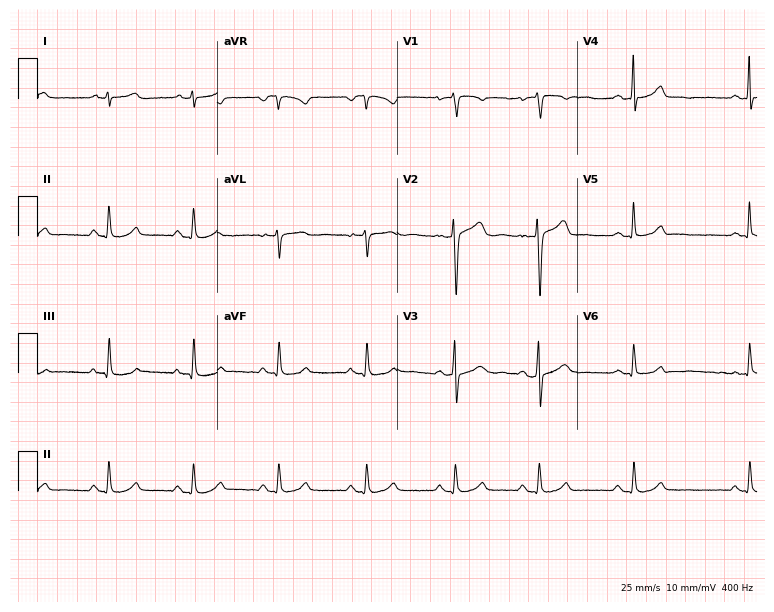
Electrocardiogram (7.3-second recording at 400 Hz), a 35-year-old female patient. Overall reading on record: normal ECG.